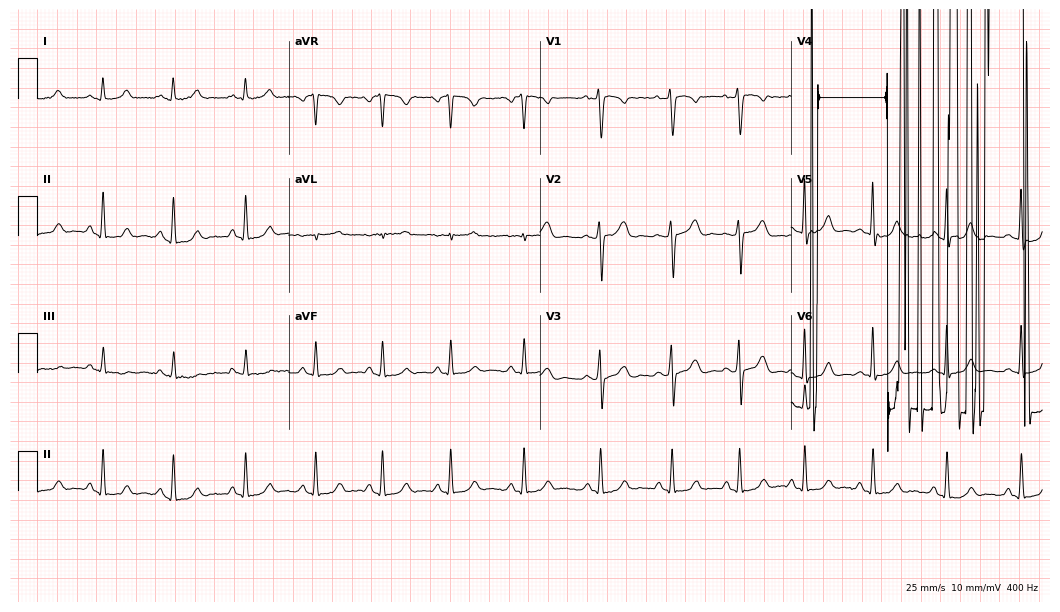
Electrocardiogram (10.2-second recording at 400 Hz), a 21-year-old female patient. Of the six screened findings (first-degree AV block, right bundle branch block (RBBB), left bundle branch block (LBBB), sinus bradycardia, atrial fibrillation (AF), sinus tachycardia), none is recorded.